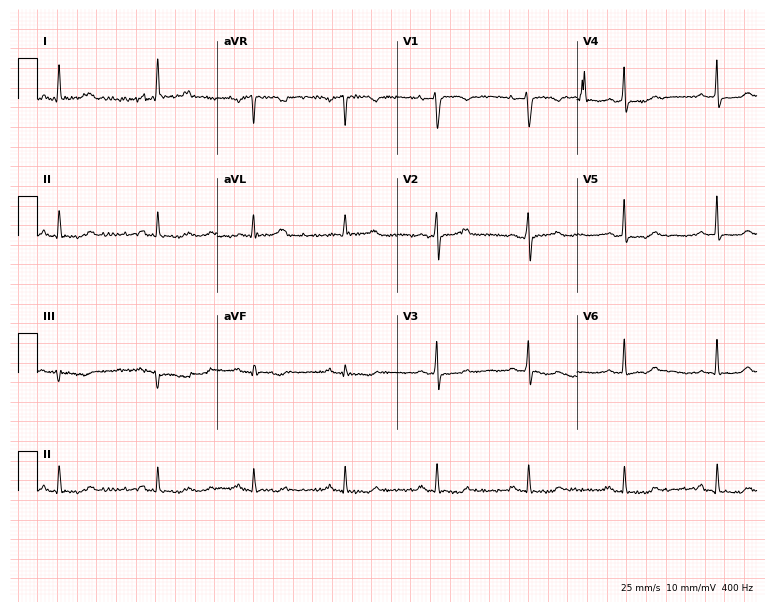
Resting 12-lead electrocardiogram (7.3-second recording at 400 Hz). Patient: a 47-year-old female. None of these six findings is recorded: first-degree AV block, right bundle branch block, left bundle branch block, sinus bradycardia, atrial fibrillation, sinus tachycardia.